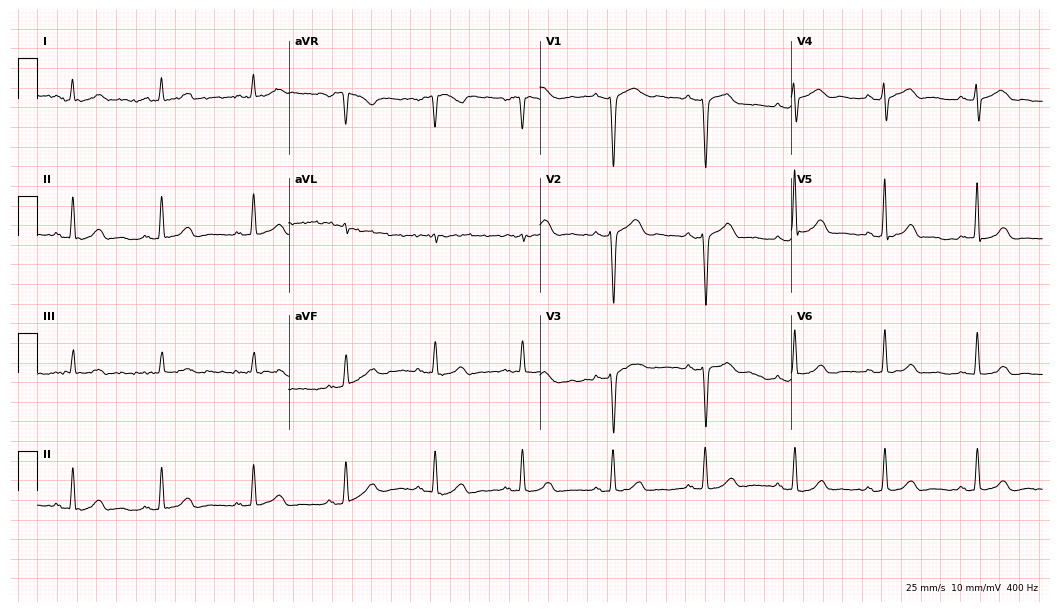
Electrocardiogram, a 64-year-old woman. Of the six screened findings (first-degree AV block, right bundle branch block, left bundle branch block, sinus bradycardia, atrial fibrillation, sinus tachycardia), none is recorded.